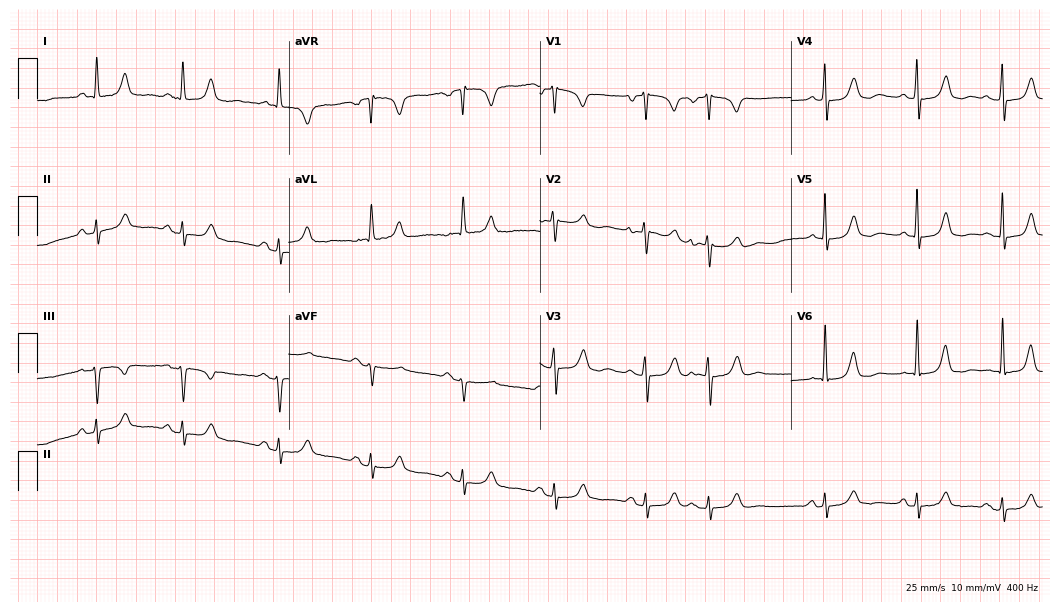
12-lead ECG from a woman, 79 years old (10.2-second recording at 400 Hz). No first-degree AV block, right bundle branch block, left bundle branch block, sinus bradycardia, atrial fibrillation or sinus tachycardia recorded for this tracing.